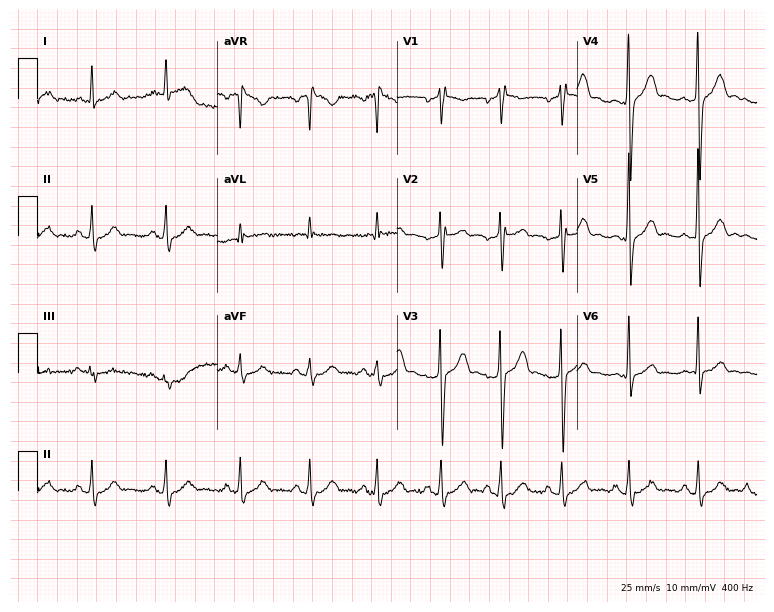
ECG — a 32-year-old male patient. Screened for six findings — first-degree AV block, right bundle branch block, left bundle branch block, sinus bradycardia, atrial fibrillation, sinus tachycardia — none is recorded. Other findings, if any, are not listed.